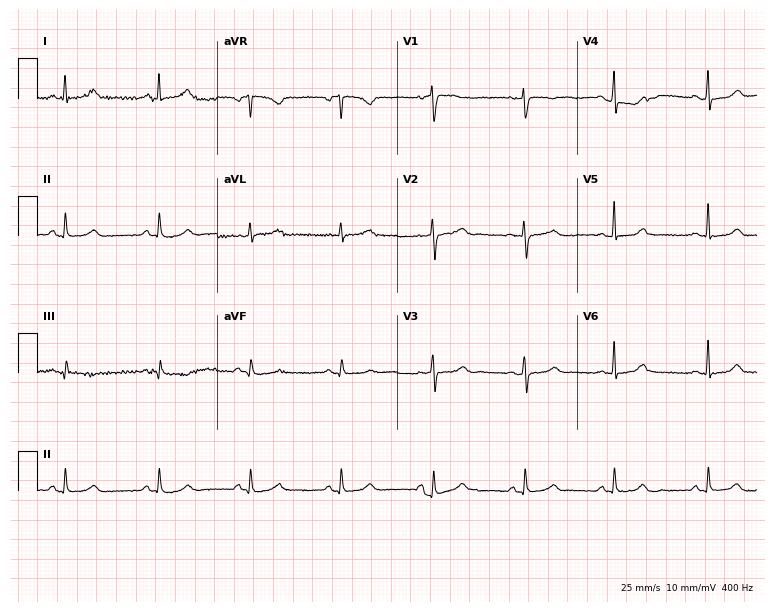
12-lead ECG from a female, 41 years old (7.3-second recording at 400 Hz). No first-degree AV block, right bundle branch block, left bundle branch block, sinus bradycardia, atrial fibrillation or sinus tachycardia recorded for this tracing. Findings outside these six are not listed.